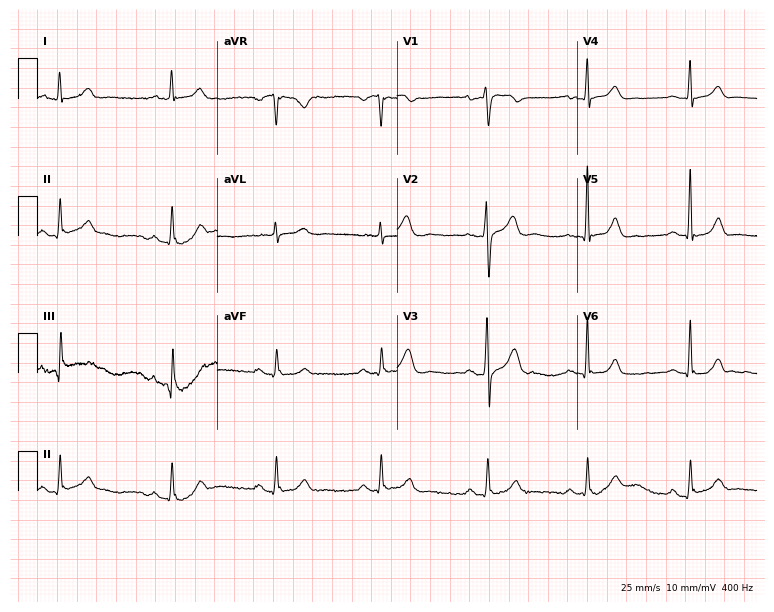
Resting 12-lead electrocardiogram. Patient: a 57-year-old male. None of these six findings is recorded: first-degree AV block, right bundle branch block (RBBB), left bundle branch block (LBBB), sinus bradycardia, atrial fibrillation (AF), sinus tachycardia.